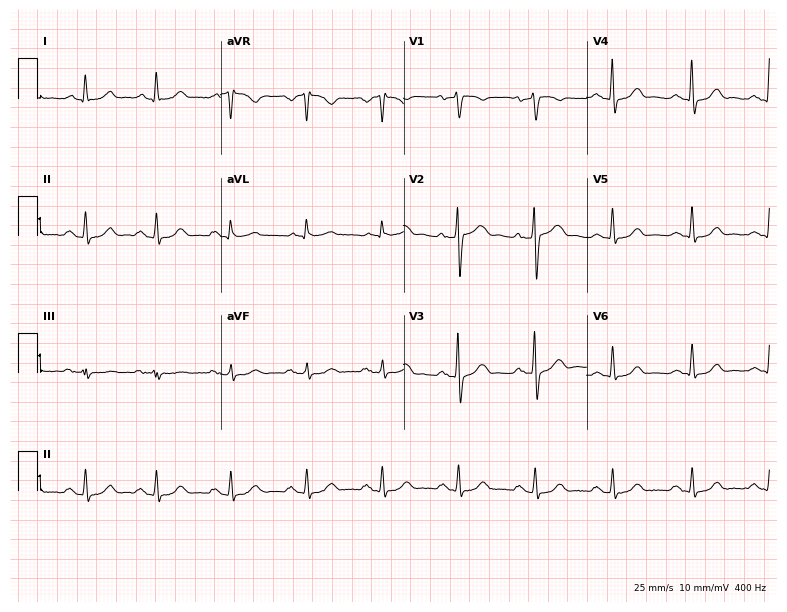
12-lead ECG from a 69-year-old man (7.5-second recording at 400 Hz). No first-degree AV block, right bundle branch block, left bundle branch block, sinus bradycardia, atrial fibrillation or sinus tachycardia recorded for this tracing.